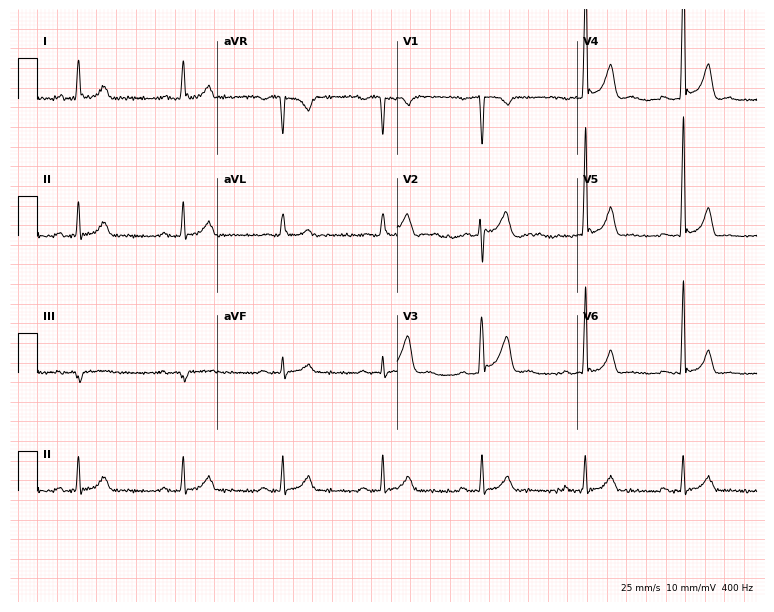
Electrocardiogram, a 33-year-old male patient. Overall reading on record: normal ECG.